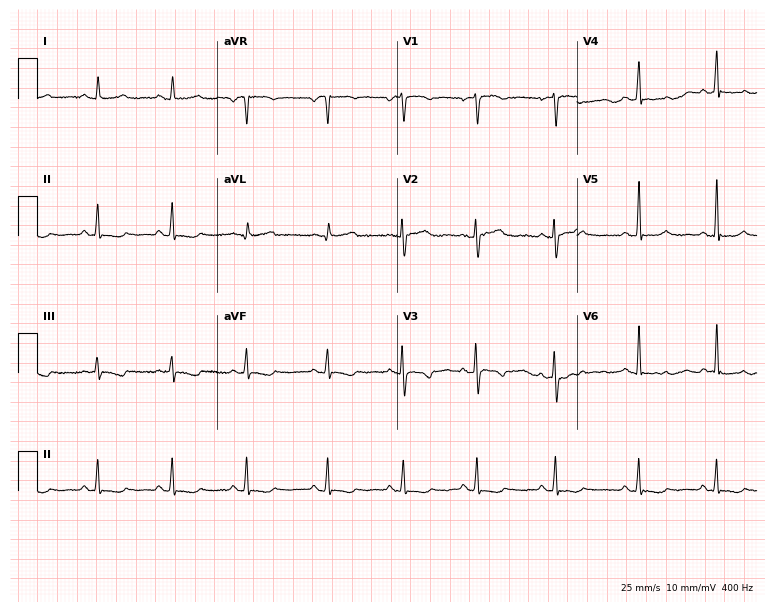
ECG (7.3-second recording at 400 Hz) — a female, 25 years old. Screened for six findings — first-degree AV block, right bundle branch block (RBBB), left bundle branch block (LBBB), sinus bradycardia, atrial fibrillation (AF), sinus tachycardia — none is recorded.